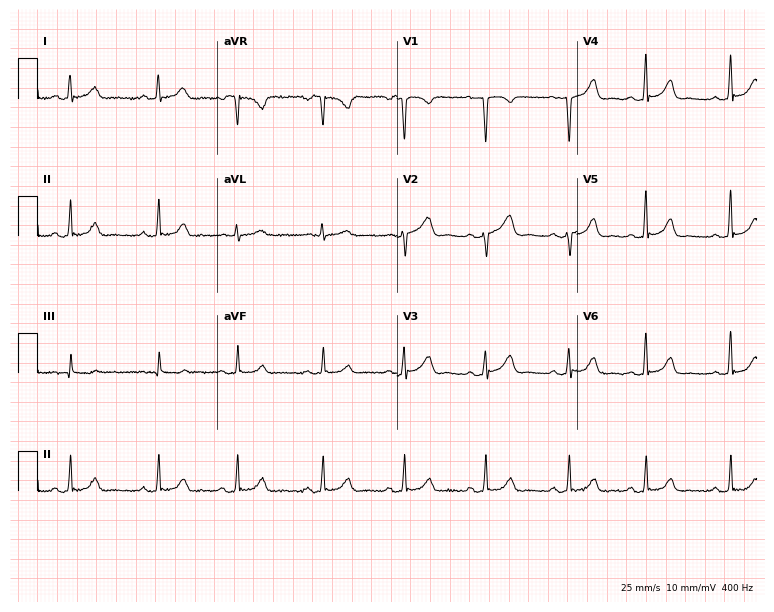
12-lead ECG (7.3-second recording at 400 Hz) from a 17-year-old woman. Labelled as a normal ECG.